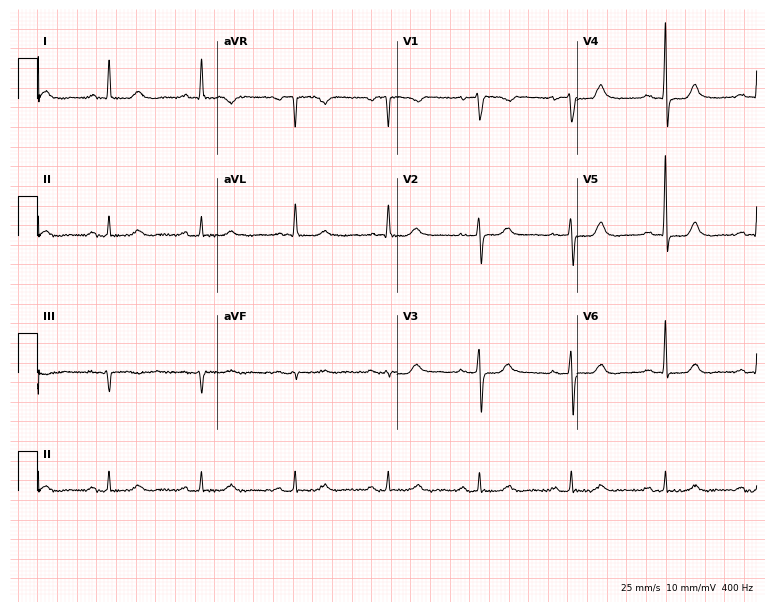
Resting 12-lead electrocardiogram. Patient: a 71-year-old female. None of these six findings is recorded: first-degree AV block, right bundle branch block, left bundle branch block, sinus bradycardia, atrial fibrillation, sinus tachycardia.